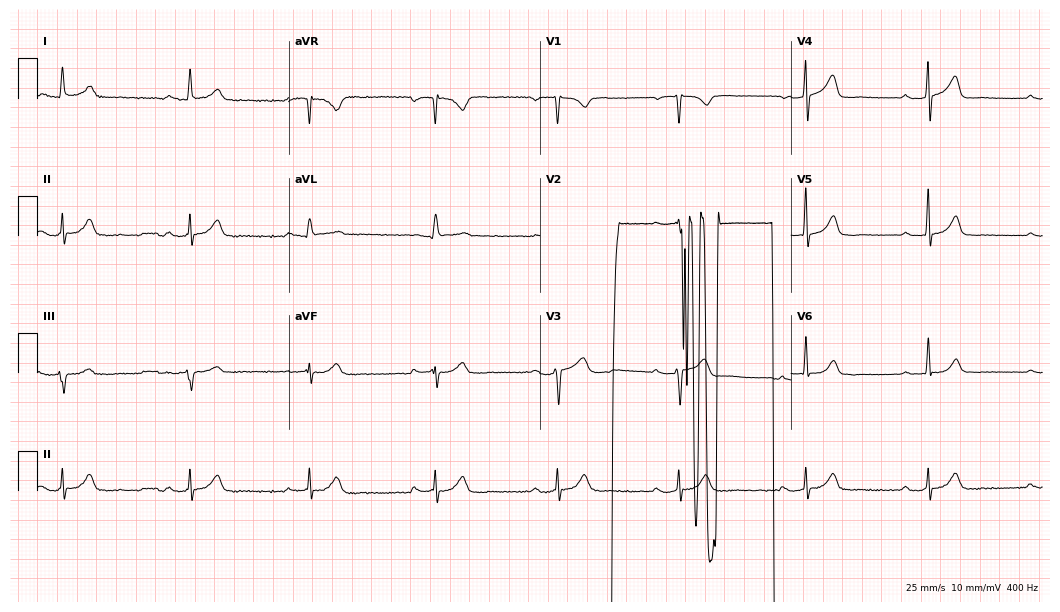
ECG (10.2-second recording at 400 Hz) — a 60-year-old female patient. Screened for six findings — first-degree AV block, right bundle branch block, left bundle branch block, sinus bradycardia, atrial fibrillation, sinus tachycardia — none is recorded.